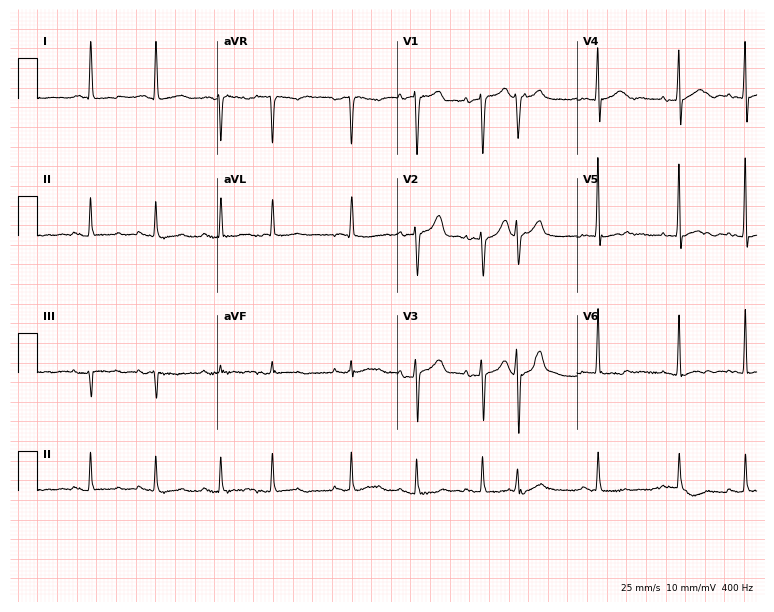
Standard 12-lead ECG recorded from a woman, 84 years old. None of these six findings is recorded: first-degree AV block, right bundle branch block (RBBB), left bundle branch block (LBBB), sinus bradycardia, atrial fibrillation (AF), sinus tachycardia. Other findings, if any, are not listed.